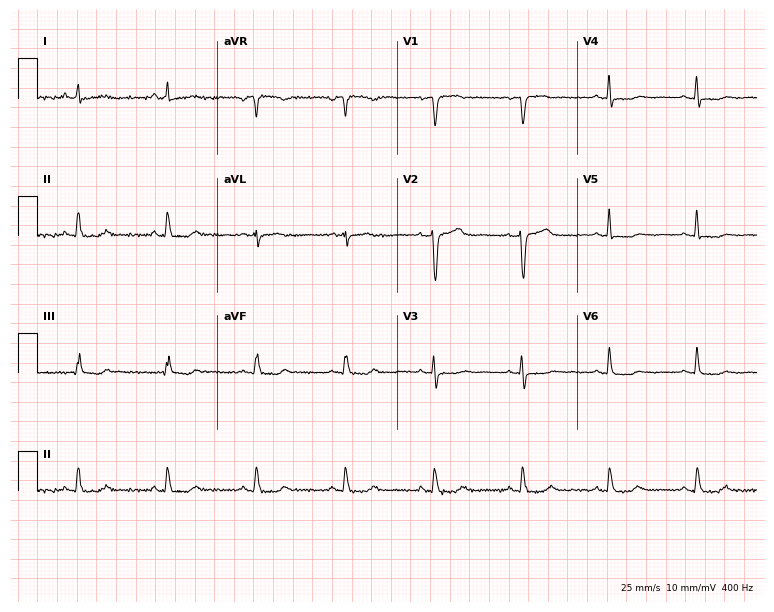
Resting 12-lead electrocardiogram (7.3-second recording at 400 Hz). Patient: a 55-year-old female. None of these six findings is recorded: first-degree AV block, right bundle branch block, left bundle branch block, sinus bradycardia, atrial fibrillation, sinus tachycardia. Only these six findings were labelled.